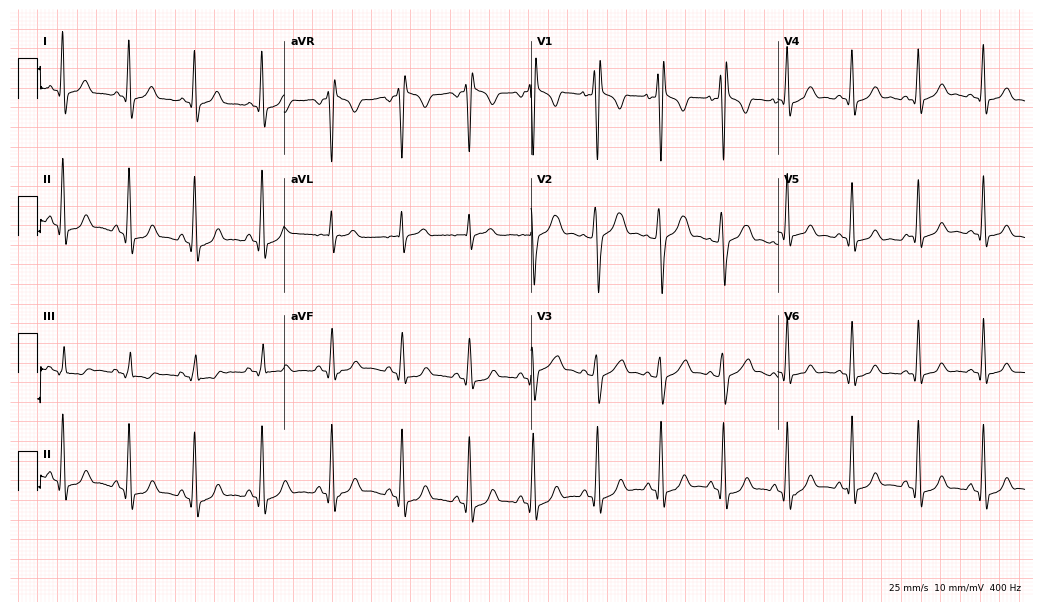
Standard 12-lead ECG recorded from a 19-year-old man. None of these six findings is recorded: first-degree AV block, right bundle branch block, left bundle branch block, sinus bradycardia, atrial fibrillation, sinus tachycardia.